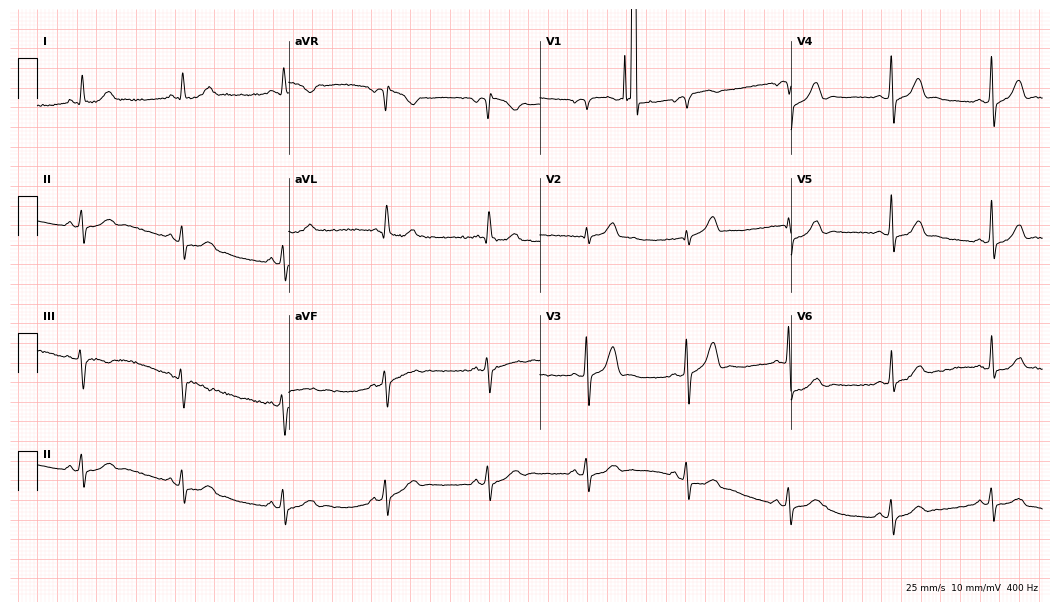
Standard 12-lead ECG recorded from a male patient, 43 years old (10.2-second recording at 400 Hz). Read as a normal ECG.